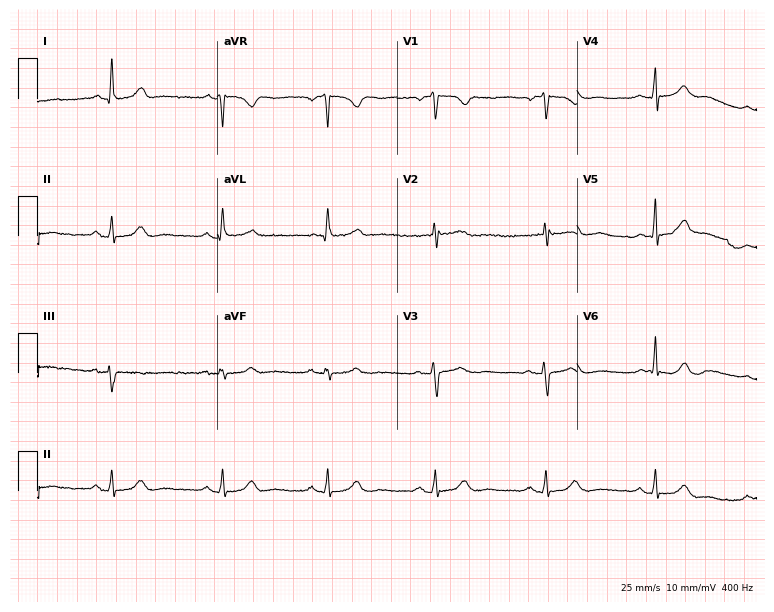
ECG (7.3-second recording at 400 Hz) — a female, 55 years old. Labelled as a normal ECG.